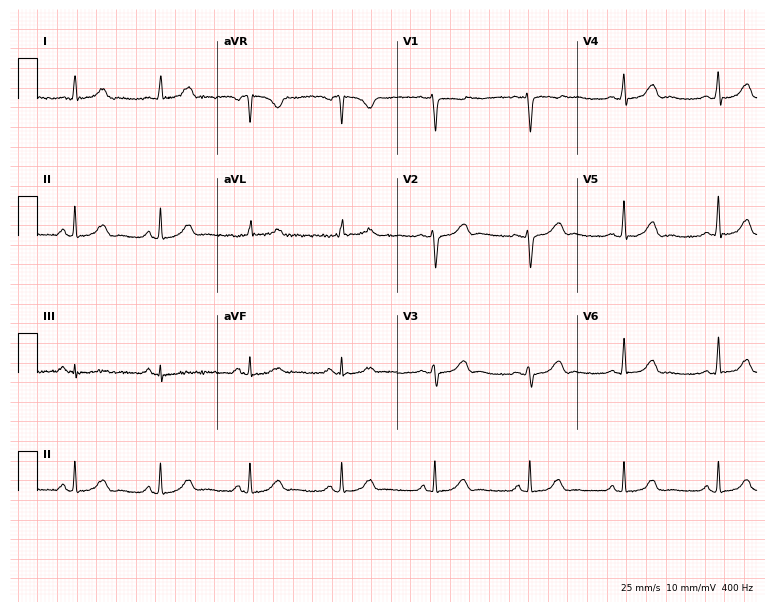
12-lead ECG from a female patient, 40 years old. No first-degree AV block, right bundle branch block (RBBB), left bundle branch block (LBBB), sinus bradycardia, atrial fibrillation (AF) or sinus tachycardia recorded for this tracing. Findings outside these six are not listed.